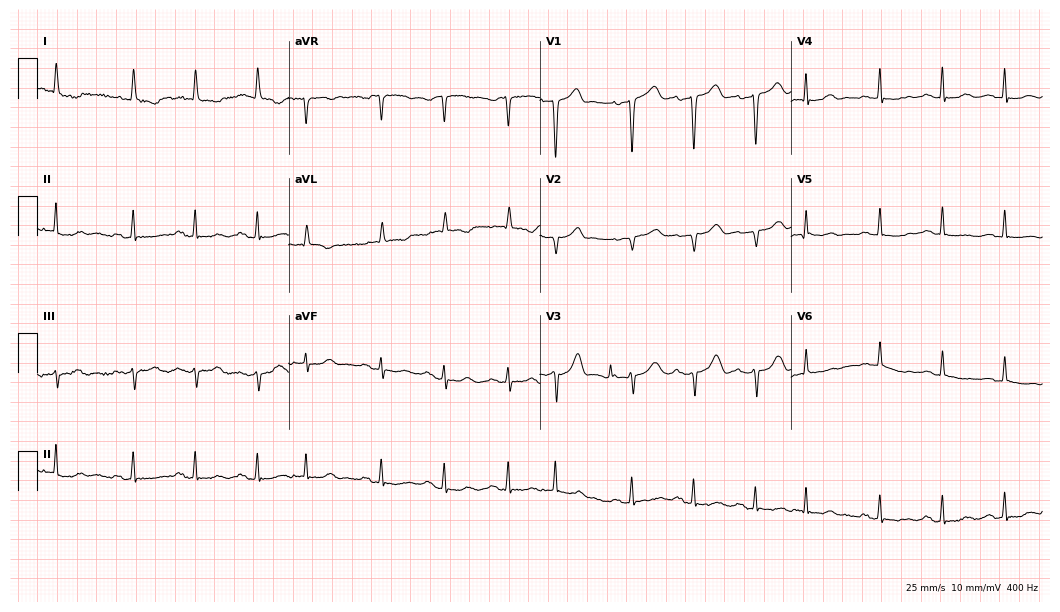
12-lead ECG from a female patient, 78 years old. Screened for six findings — first-degree AV block, right bundle branch block, left bundle branch block, sinus bradycardia, atrial fibrillation, sinus tachycardia — none is recorded. Other findings, if any, are not listed.